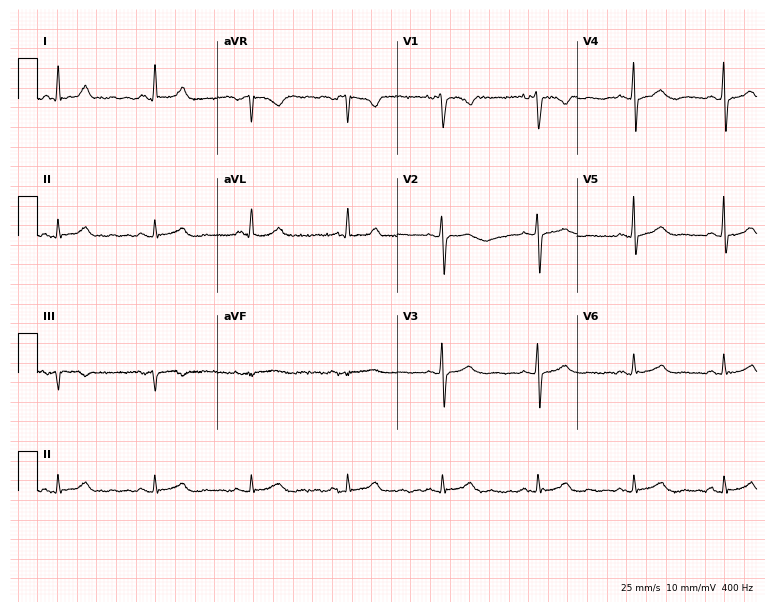
12-lead ECG from a 61-year-old woman. Screened for six findings — first-degree AV block, right bundle branch block, left bundle branch block, sinus bradycardia, atrial fibrillation, sinus tachycardia — none is recorded.